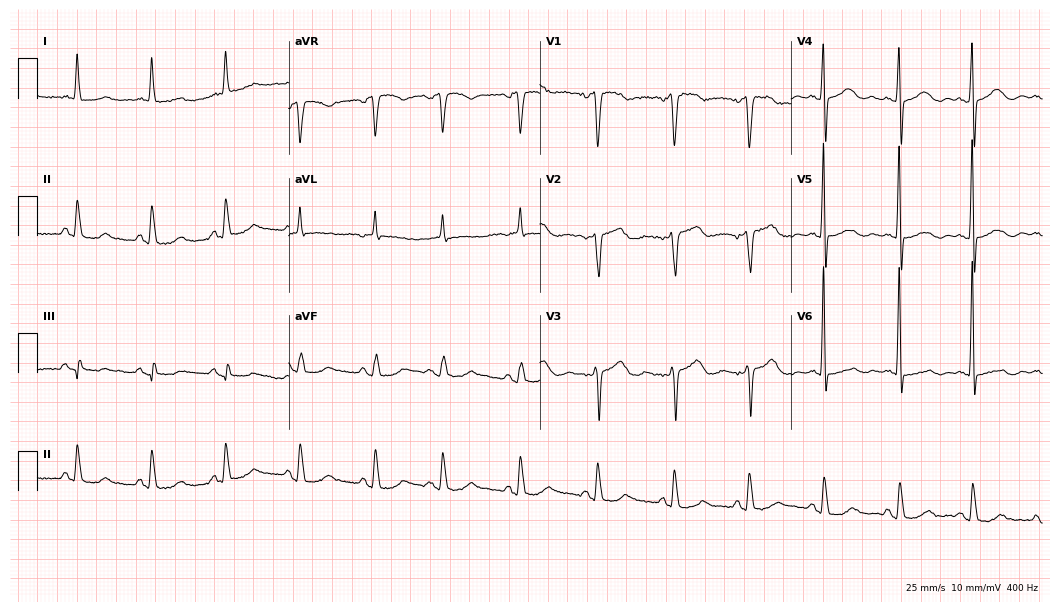
12-lead ECG from a female, 77 years old (10.2-second recording at 400 Hz). No first-degree AV block, right bundle branch block, left bundle branch block, sinus bradycardia, atrial fibrillation or sinus tachycardia recorded for this tracing. Other findings, if any, are not listed.